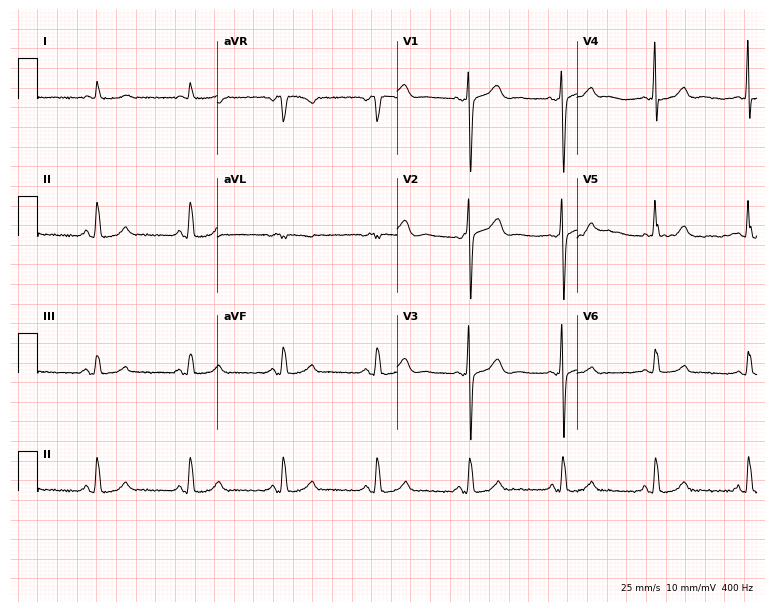
12-lead ECG from a female patient, 74 years old (7.3-second recording at 400 Hz). Recorded interpretation: within normal limits.